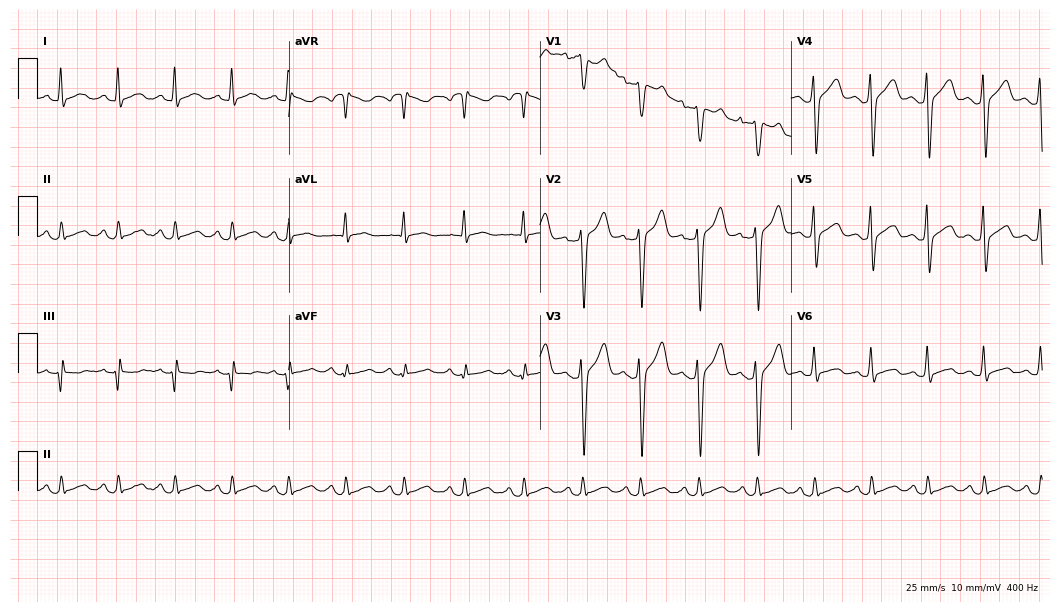
12-lead ECG (10.2-second recording at 400 Hz) from a man, 32 years old. Findings include sinus tachycardia (a sinus rate of 100 beats per minute or more).